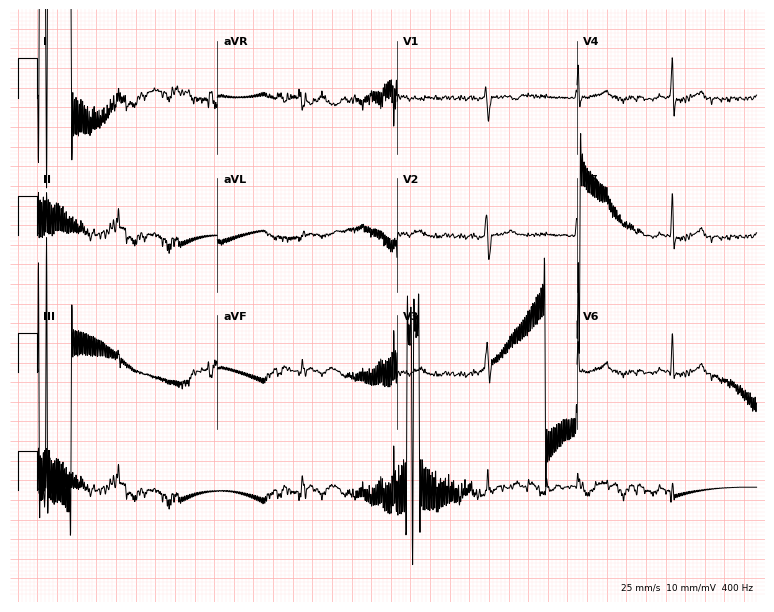
12-lead ECG from a 34-year-old woman. No first-degree AV block, right bundle branch block, left bundle branch block, sinus bradycardia, atrial fibrillation or sinus tachycardia recorded for this tracing. Only these six findings were labelled.